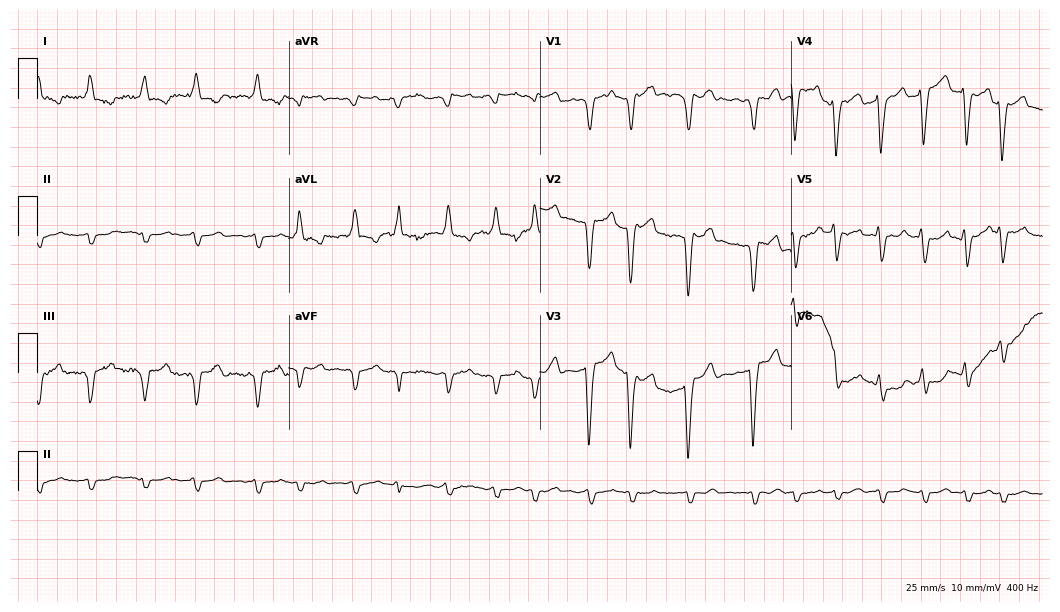
Resting 12-lead electrocardiogram. Patient: a 59-year-old male. The tracing shows left bundle branch block, atrial fibrillation.